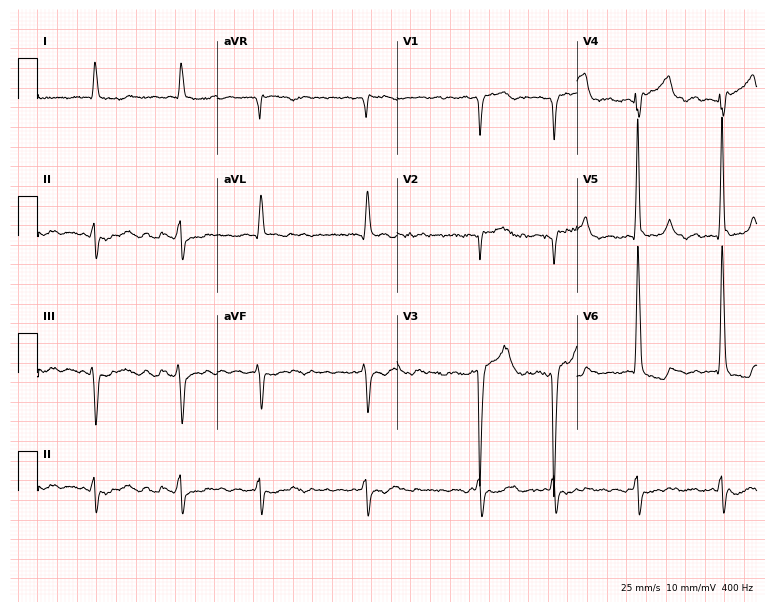
ECG — a male, 82 years old. Findings include atrial fibrillation.